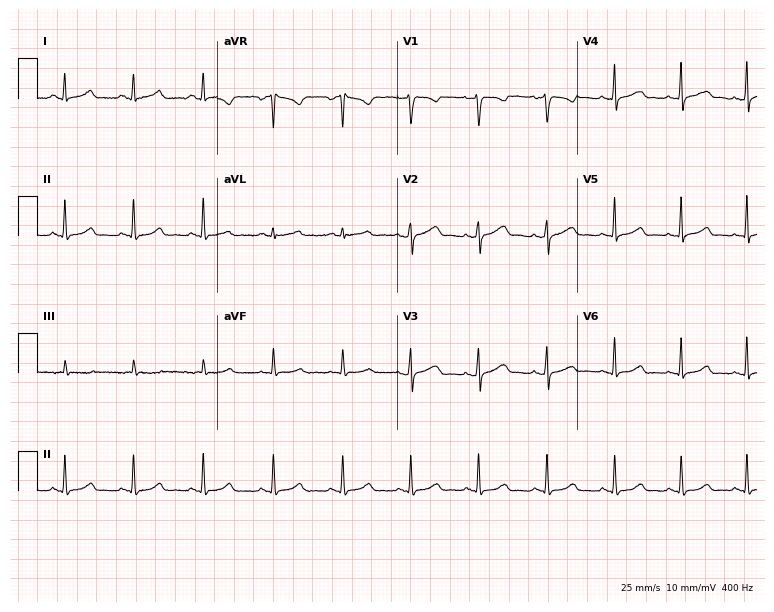
Standard 12-lead ECG recorded from a female patient, 38 years old (7.3-second recording at 400 Hz). None of these six findings is recorded: first-degree AV block, right bundle branch block (RBBB), left bundle branch block (LBBB), sinus bradycardia, atrial fibrillation (AF), sinus tachycardia.